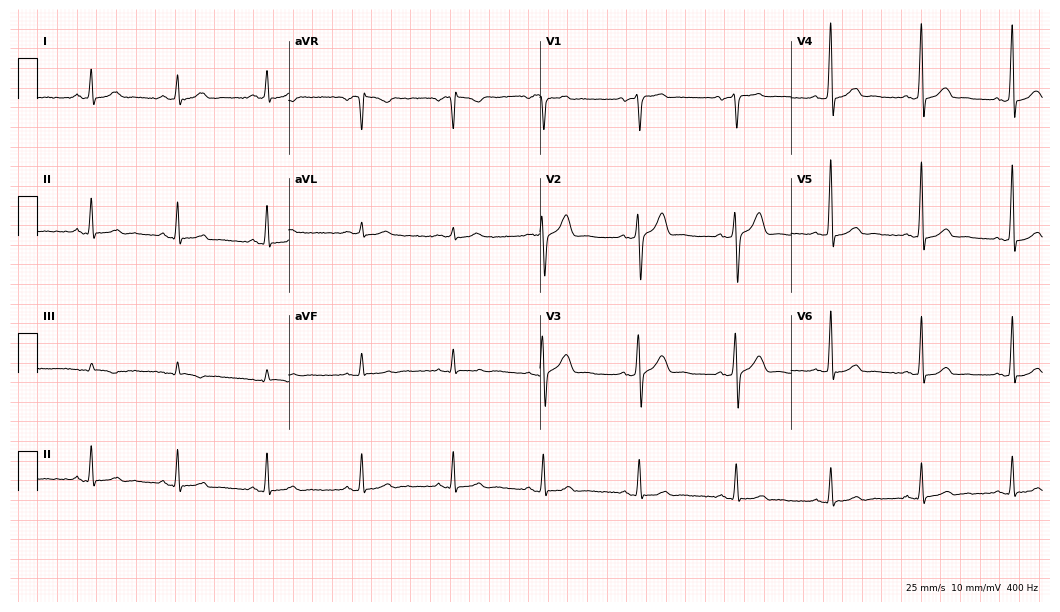
Electrocardiogram, a male patient, 19 years old. Overall reading on record: normal ECG.